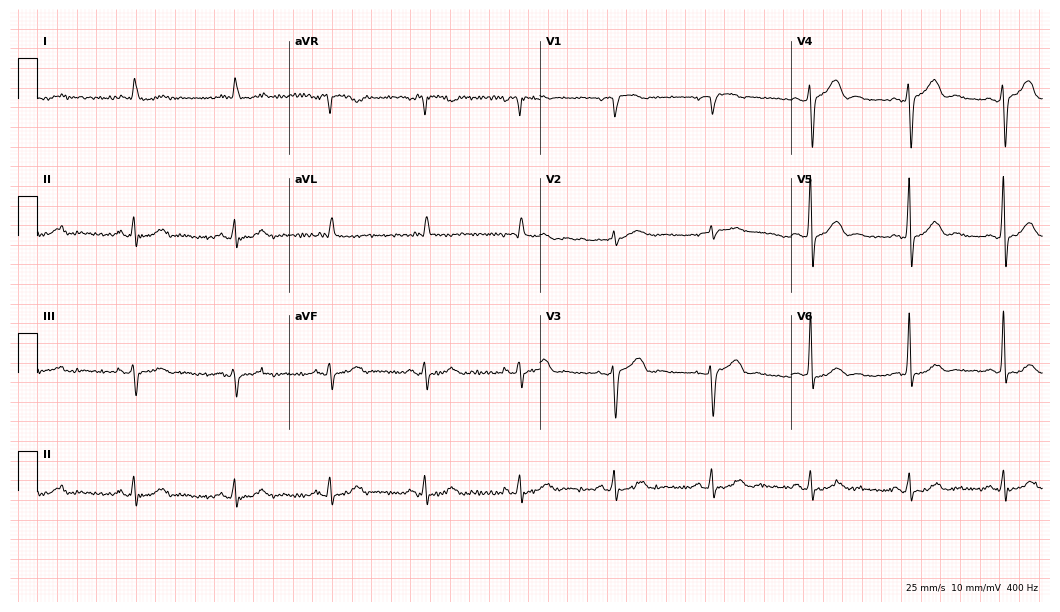
Resting 12-lead electrocardiogram. Patient: a 69-year-old male. Read as a normal ECG.